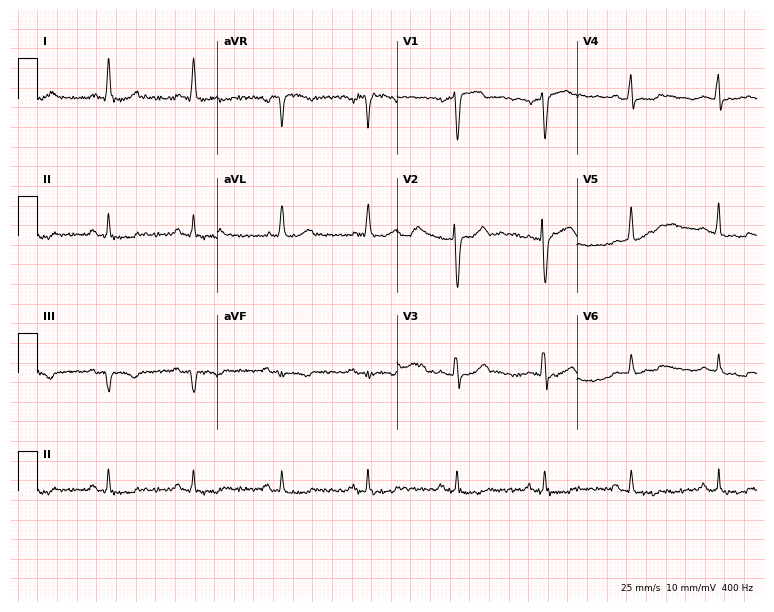
Standard 12-lead ECG recorded from a 62-year-old male (7.3-second recording at 400 Hz). None of these six findings is recorded: first-degree AV block, right bundle branch block, left bundle branch block, sinus bradycardia, atrial fibrillation, sinus tachycardia.